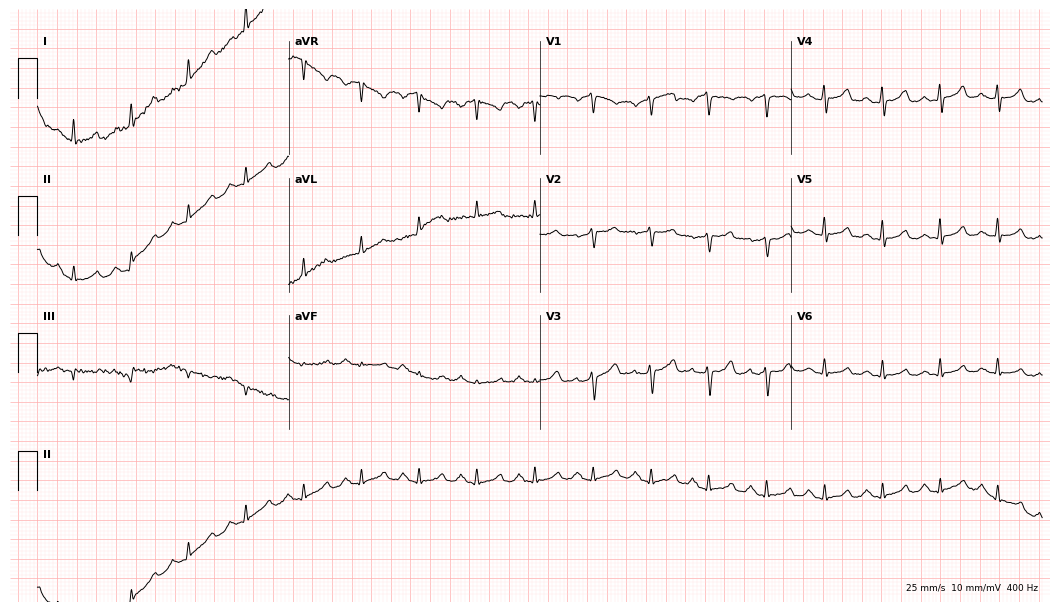
12-lead ECG (10.2-second recording at 400 Hz) from a 67-year-old woman. Findings include sinus tachycardia (a sinus rate of 100 beats per minute or more).